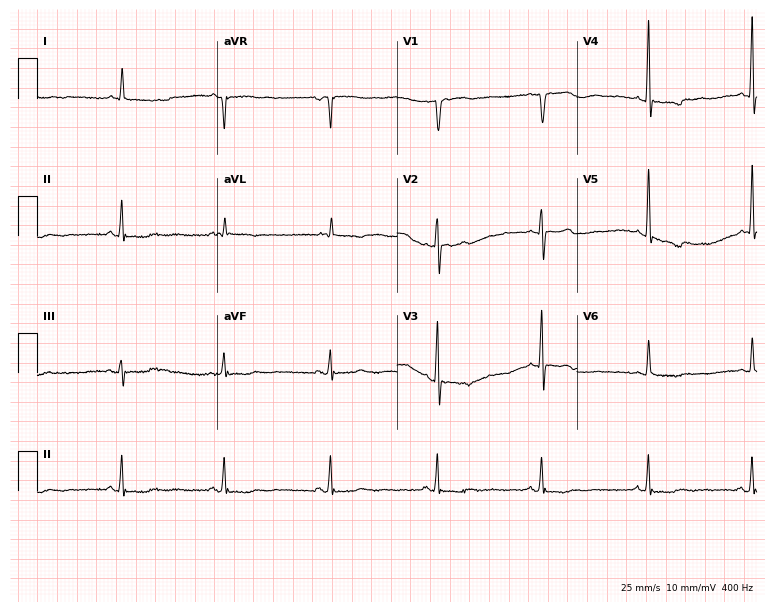
ECG — a 72-year-old man. Screened for six findings — first-degree AV block, right bundle branch block (RBBB), left bundle branch block (LBBB), sinus bradycardia, atrial fibrillation (AF), sinus tachycardia — none is recorded.